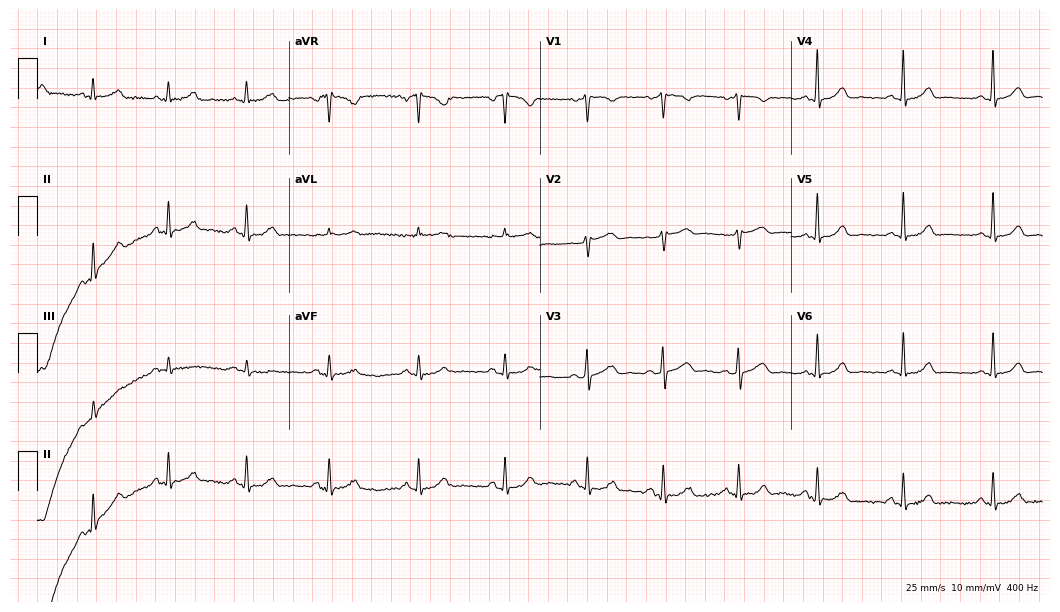
Resting 12-lead electrocardiogram. Patient: a female, 43 years old. None of these six findings is recorded: first-degree AV block, right bundle branch block, left bundle branch block, sinus bradycardia, atrial fibrillation, sinus tachycardia.